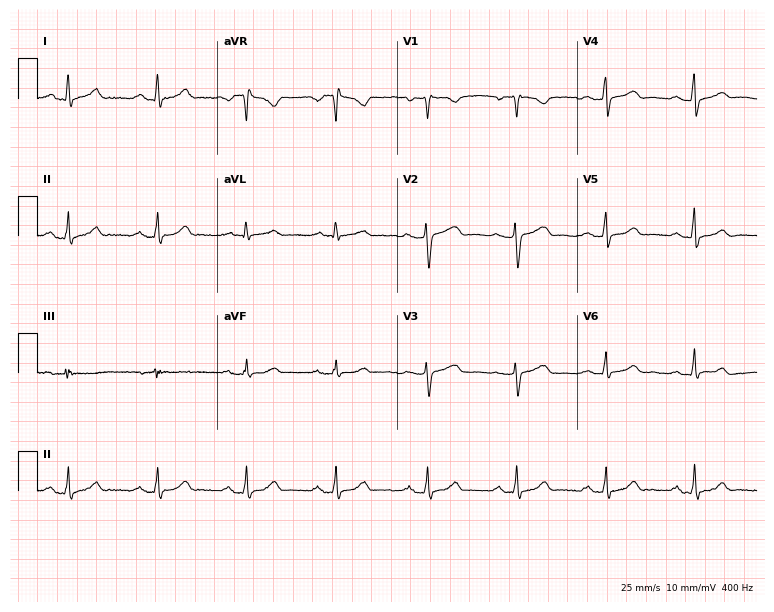
12-lead ECG (7.3-second recording at 400 Hz) from a female, 37 years old. Labelled as a normal ECG.